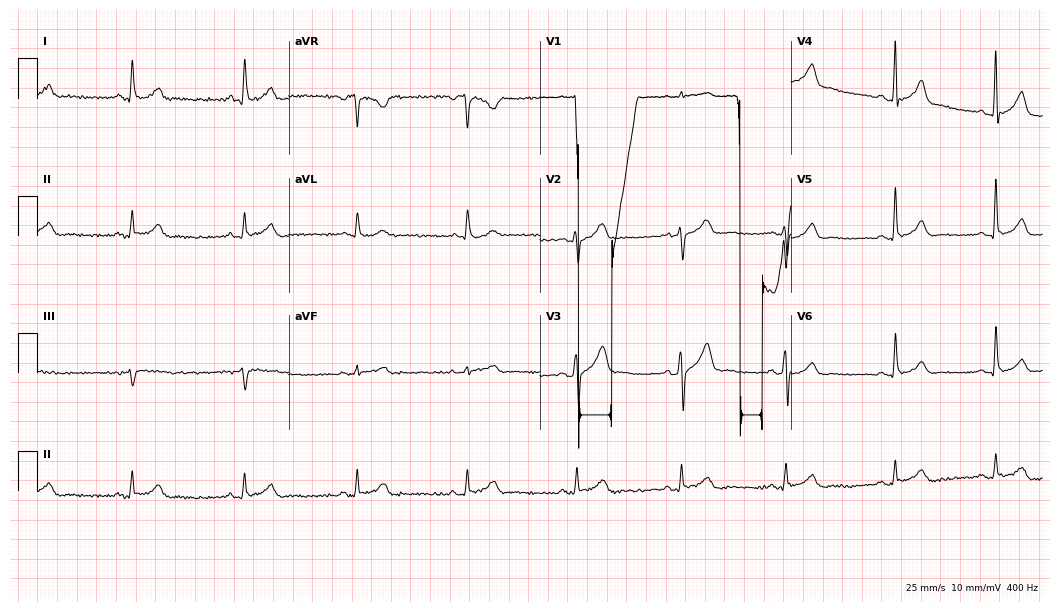
12-lead ECG from a male, 33 years old. No first-degree AV block, right bundle branch block (RBBB), left bundle branch block (LBBB), sinus bradycardia, atrial fibrillation (AF) or sinus tachycardia recorded for this tracing.